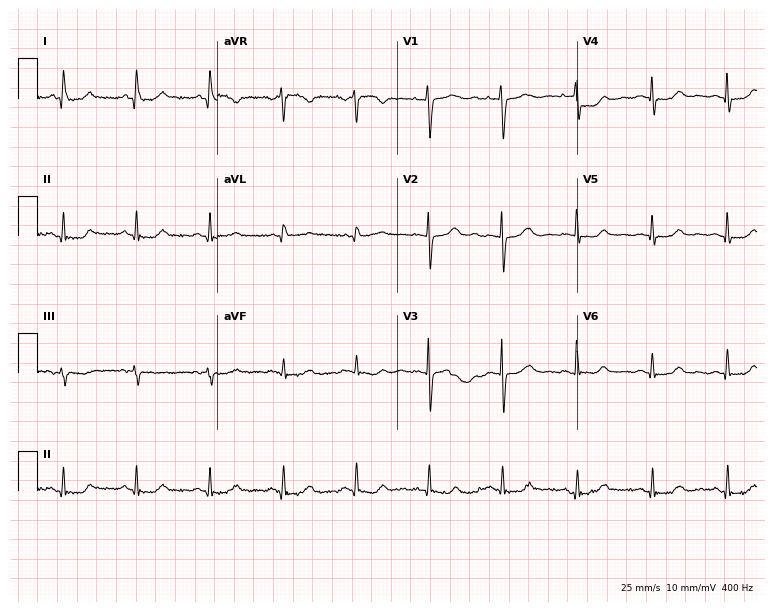
Resting 12-lead electrocardiogram. Patient: a 64-year-old female. None of these six findings is recorded: first-degree AV block, right bundle branch block (RBBB), left bundle branch block (LBBB), sinus bradycardia, atrial fibrillation (AF), sinus tachycardia.